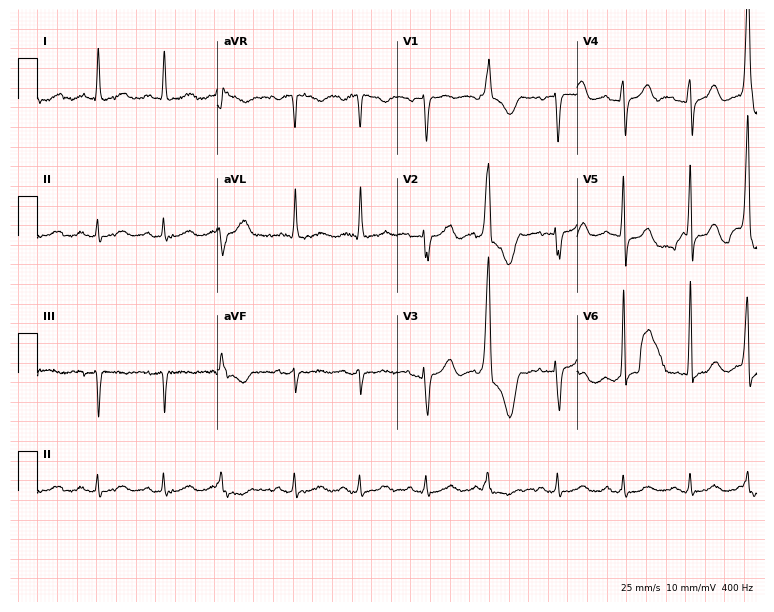
Standard 12-lead ECG recorded from a male patient, 79 years old (7.3-second recording at 400 Hz). None of these six findings is recorded: first-degree AV block, right bundle branch block (RBBB), left bundle branch block (LBBB), sinus bradycardia, atrial fibrillation (AF), sinus tachycardia.